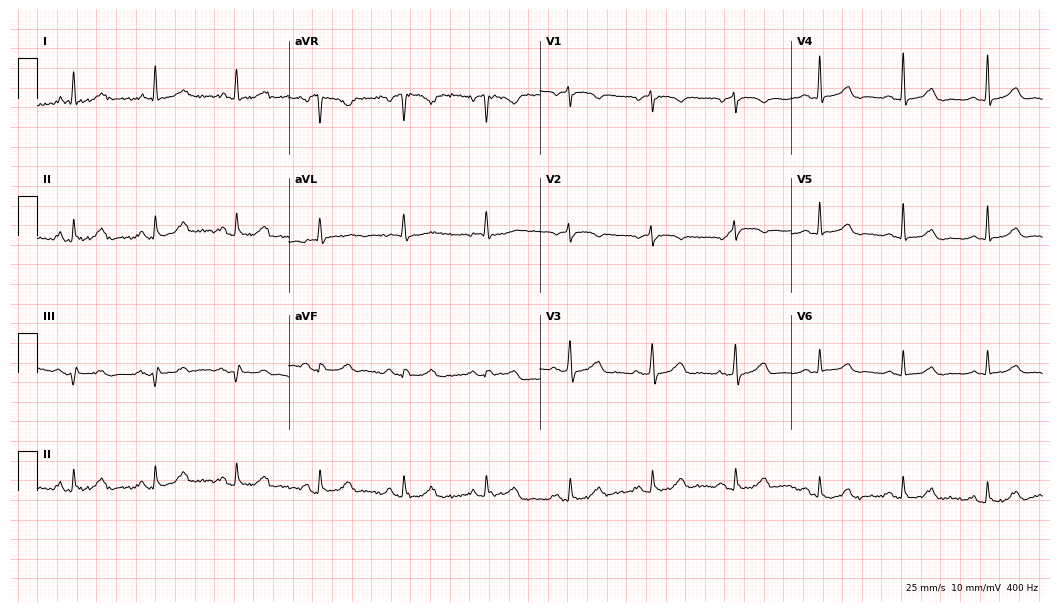
Resting 12-lead electrocardiogram (10.2-second recording at 400 Hz). Patient: a female, 74 years old. None of these six findings is recorded: first-degree AV block, right bundle branch block, left bundle branch block, sinus bradycardia, atrial fibrillation, sinus tachycardia. Other findings, if any, are not listed.